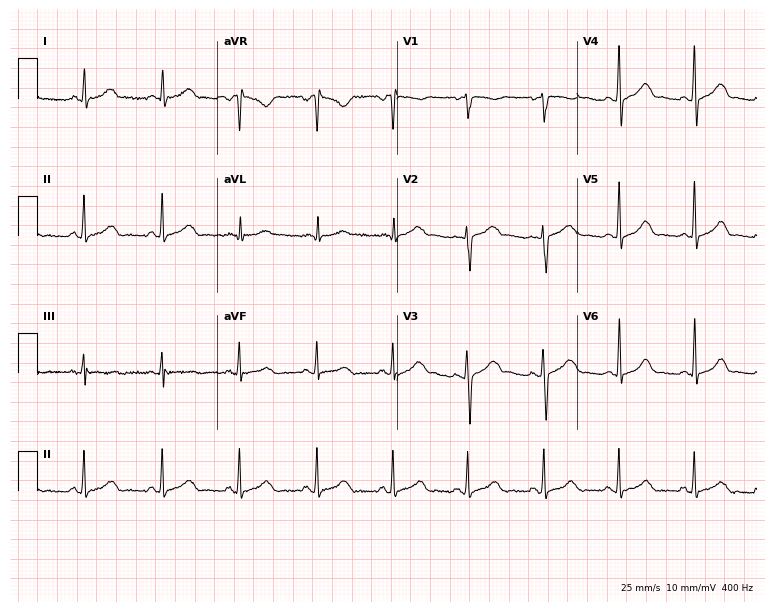
ECG — a female, 36 years old. Labelled as a normal ECG.